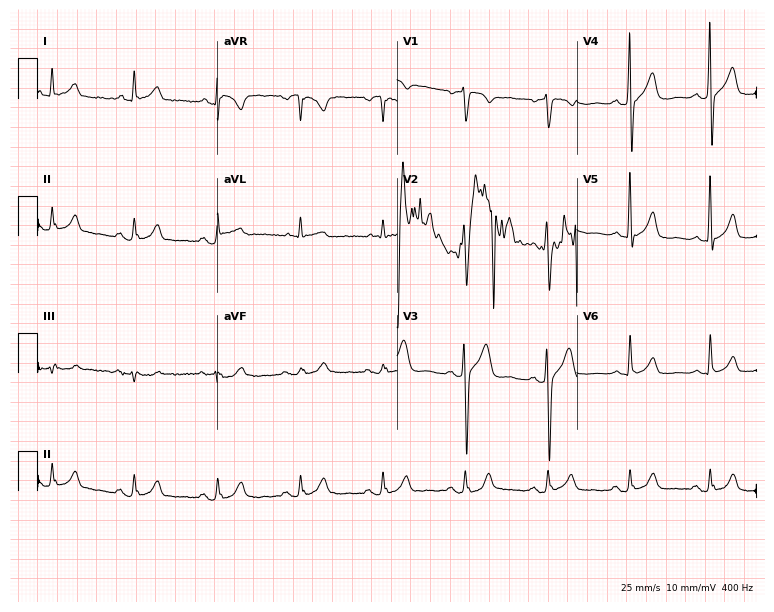
Resting 12-lead electrocardiogram. Patient: a 48-year-old man. None of these six findings is recorded: first-degree AV block, right bundle branch block, left bundle branch block, sinus bradycardia, atrial fibrillation, sinus tachycardia. Only these six findings were labelled.